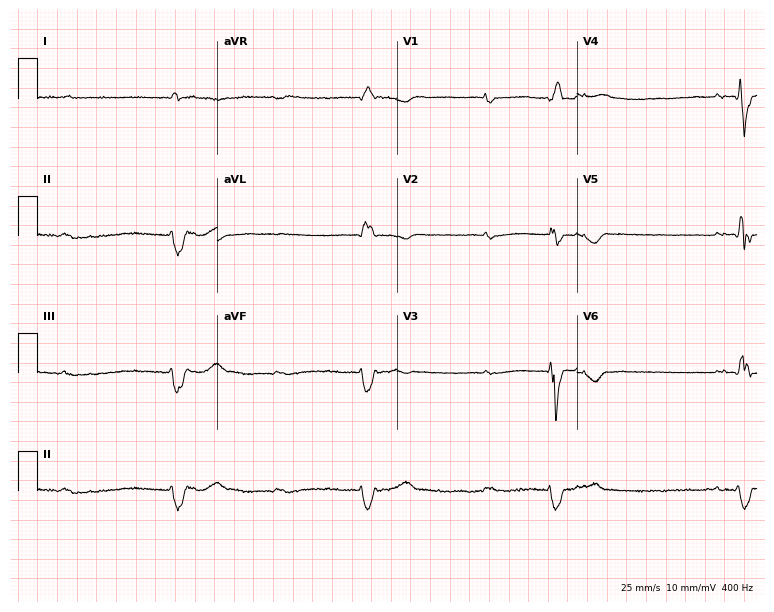
Standard 12-lead ECG recorded from a 56-year-old man (7.3-second recording at 400 Hz). None of these six findings is recorded: first-degree AV block, right bundle branch block, left bundle branch block, sinus bradycardia, atrial fibrillation, sinus tachycardia.